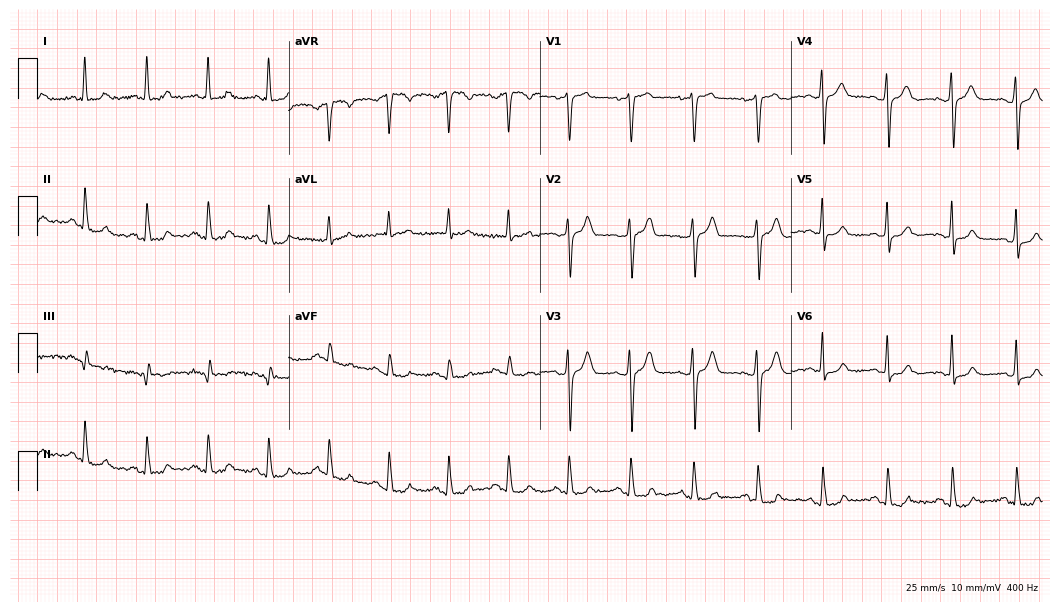
12-lead ECG from a 44-year-old male patient. Recorded interpretation: within normal limits.